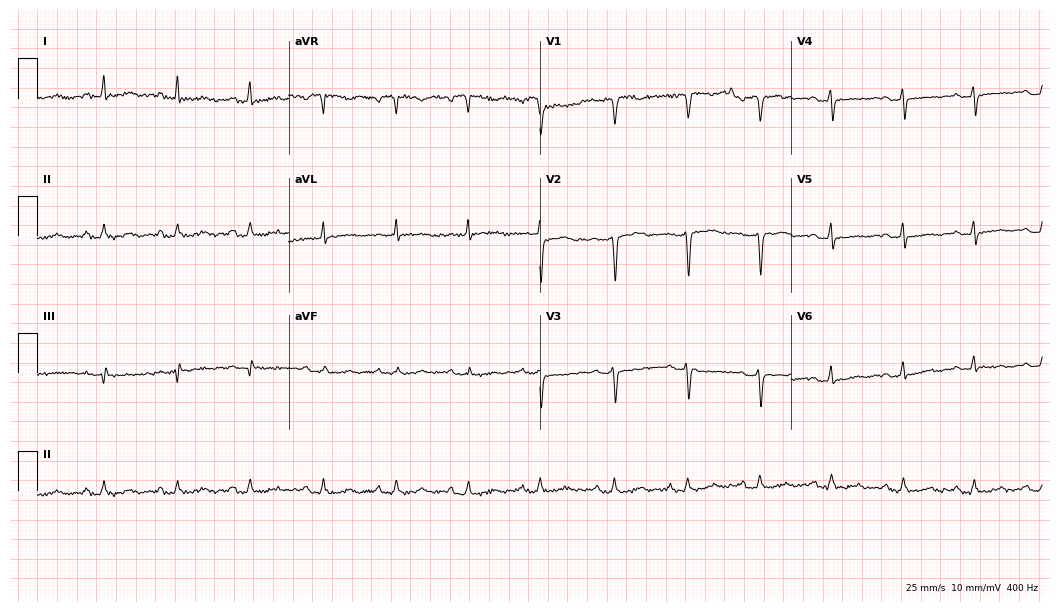
12-lead ECG from a woman, 48 years old. Screened for six findings — first-degree AV block, right bundle branch block, left bundle branch block, sinus bradycardia, atrial fibrillation, sinus tachycardia — none is recorded. Findings outside these six are not listed.